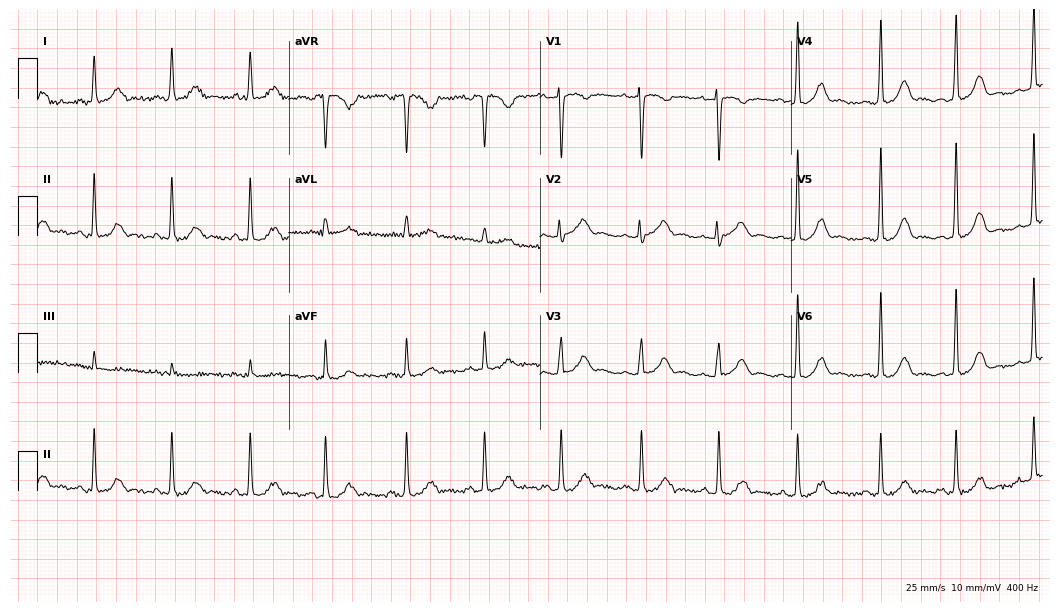
Standard 12-lead ECG recorded from a female patient, 40 years old (10.2-second recording at 400 Hz). Read as a normal ECG.